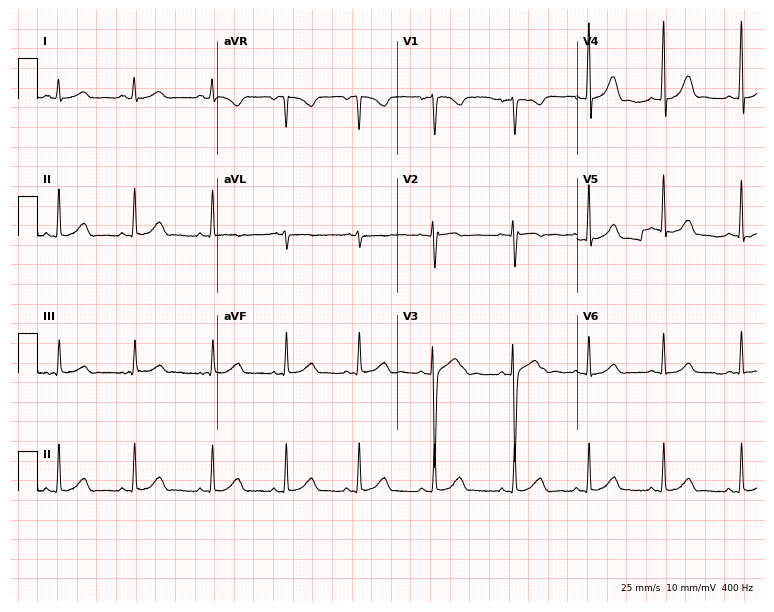
Electrocardiogram, a woman, 24 years old. Overall reading on record: normal ECG.